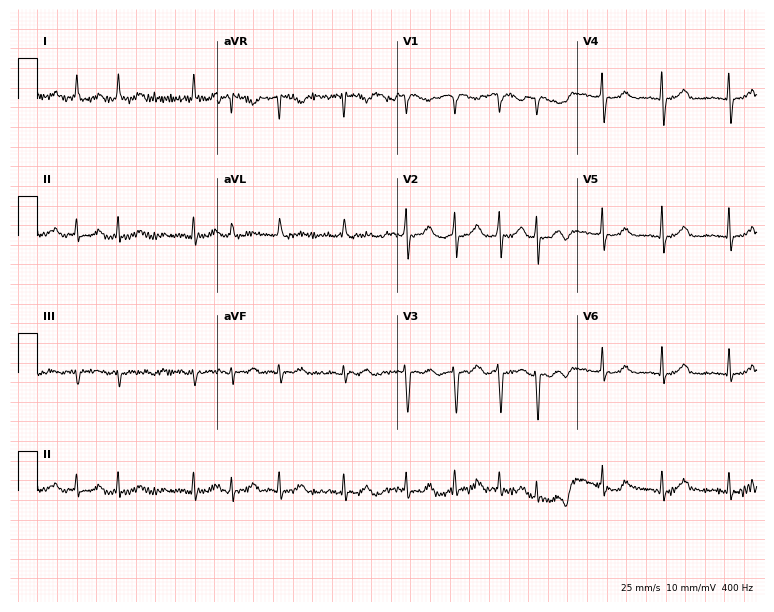
Standard 12-lead ECG recorded from an 85-year-old woman (7.3-second recording at 400 Hz). None of these six findings is recorded: first-degree AV block, right bundle branch block (RBBB), left bundle branch block (LBBB), sinus bradycardia, atrial fibrillation (AF), sinus tachycardia. Only these six findings were labelled.